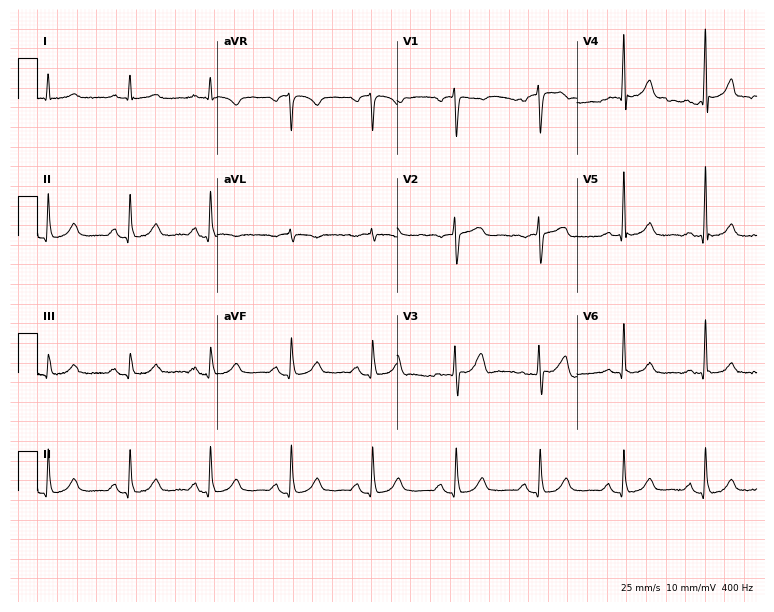
Standard 12-lead ECG recorded from a male patient, 81 years old (7.3-second recording at 400 Hz). Read as a normal ECG.